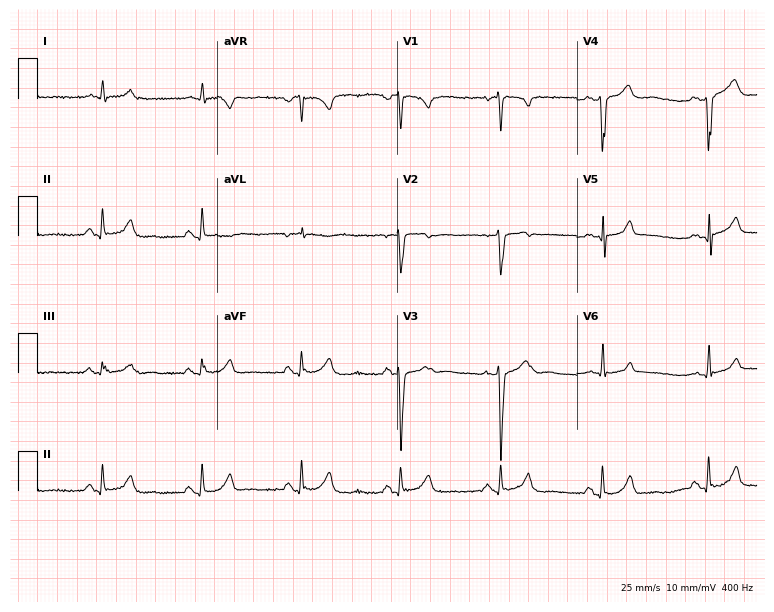
12-lead ECG from a male patient, 54 years old. Labelled as a normal ECG.